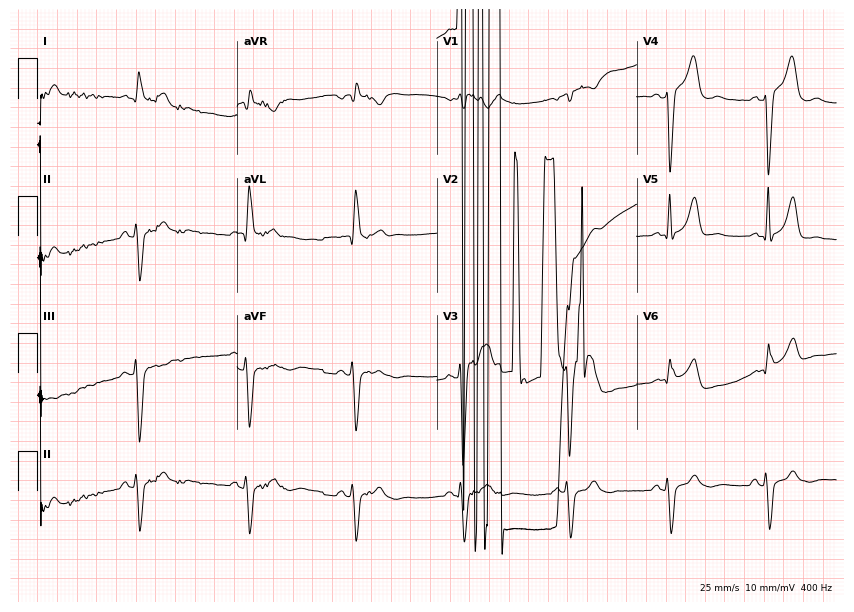
Electrocardiogram (8.1-second recording at 400 Hz), a female, 58 years old. Of the six screened findings (first-degree AV block, right bundle branch block, left bundle branch block, sinus bradycardia, atrial fibrillation, sinus tachycardia), none is recorded.